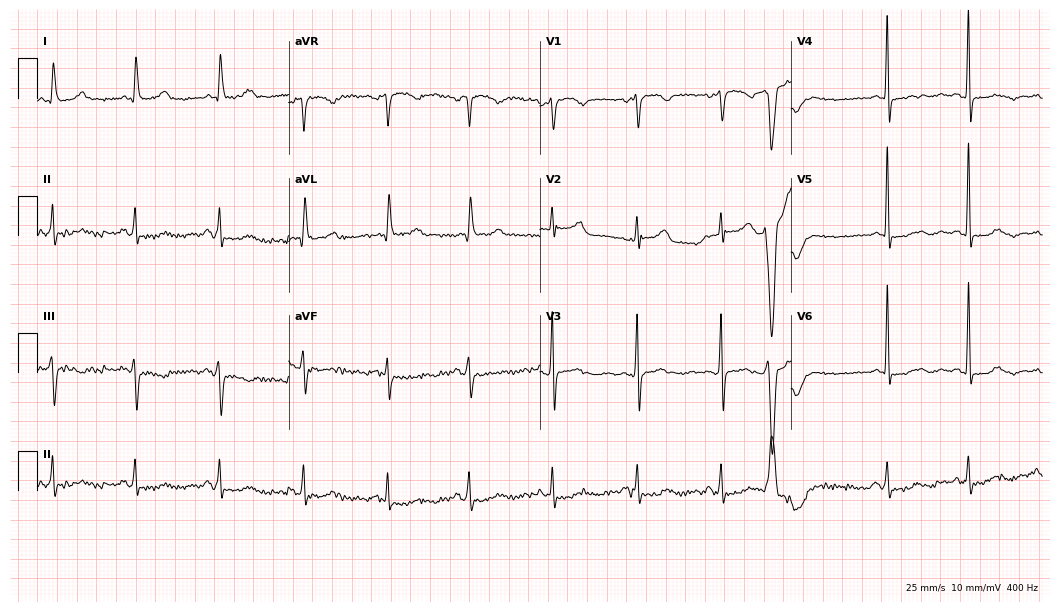
12-lead ECG from a 75-year-old woman. No first-degree AV block, right bundle branch block, left bundle branch block, sinus bradycardia, atrial fibrillation or sinus tachycardia recorded for this tracing.